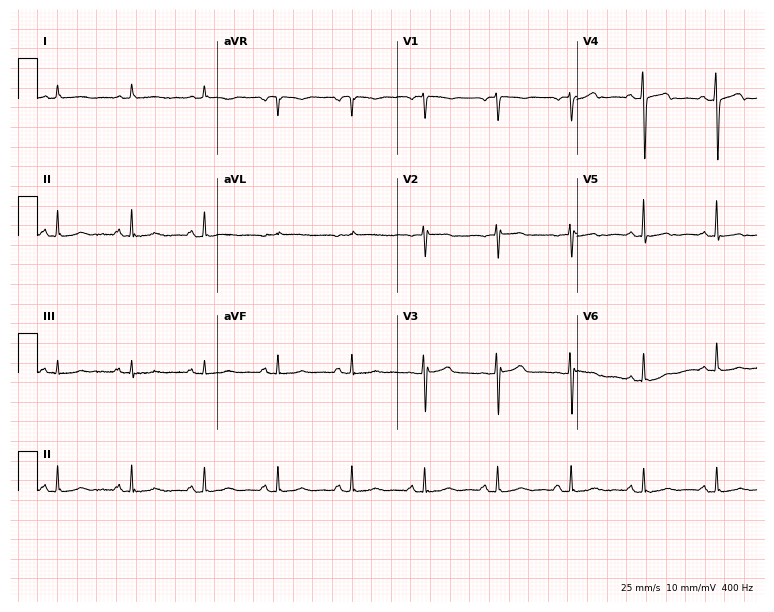
Electrocardiogram, a 76-year-old female. Of the six screened findings (first-degree AV block, right bundle branch block, left bundle branch block, sinus bradycardia, atrial fibrillation, sinus tachycardia), none is recorded. Findings outside these six are not listed.